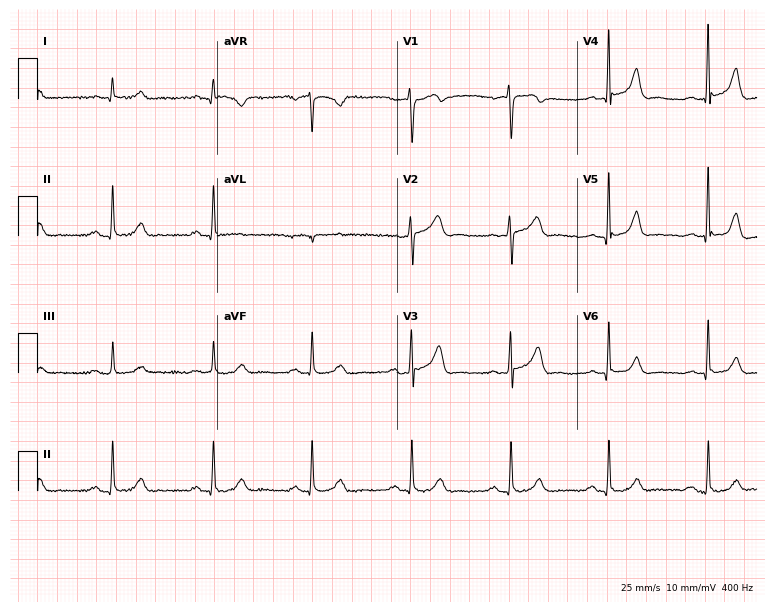
ECG (7.3-second recording at 400 Hz) — a man, 59 years old. Labelled as a normal ECG.